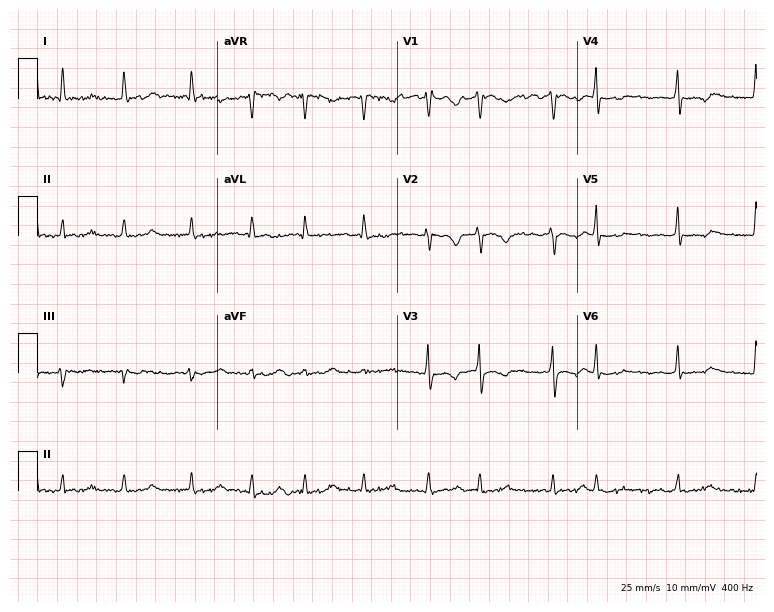
ECG (7.3-second recording at 400 Hz) — a female, 68 years old. Findings include atrial fibrillation.